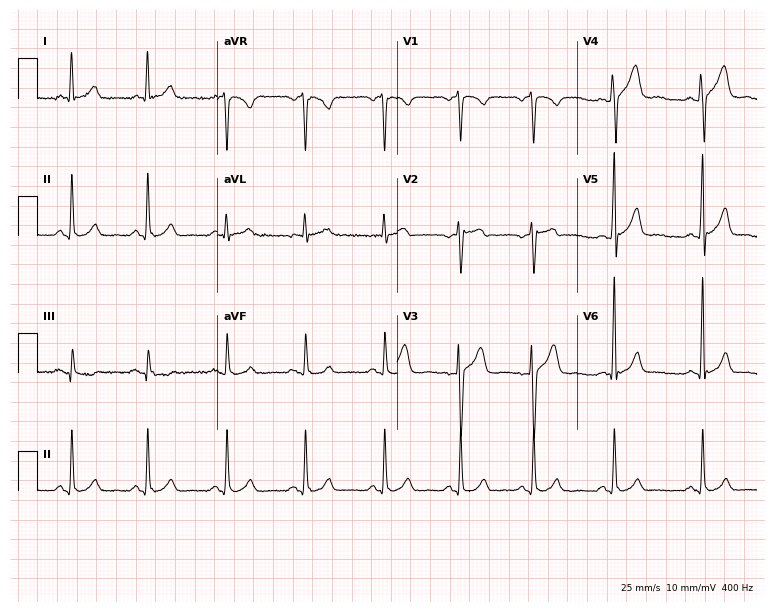
Electrocardiogram, a 40-year-old male. Of the six screened findings (first-degree AV block, right bundle branch block (RBBB), left bundle branch block (LBBB), sinus bradycardia, atrial fibrillation (AF), sinus tachycardia), none is recorded. Only these six findings were labelled.